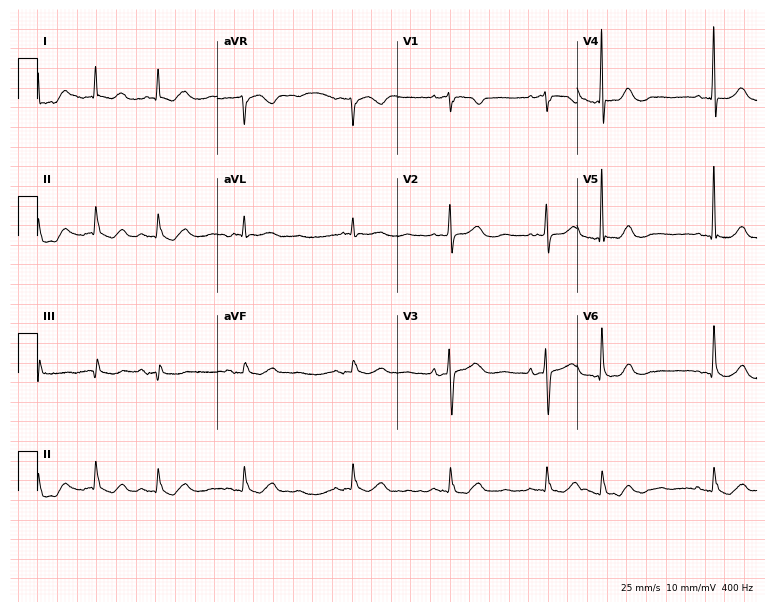
ECG (7.3-second recording at 400 Hz) — an 85-year-old female. Screened for six findings — first-degree AV block, right bundle branch block (RBBB), left bundle branch block (LBBB), sinus bradycardia, atrial fibrillation (AF), sinus tachycardia — none is recorded. Findings outside these six are not listed.